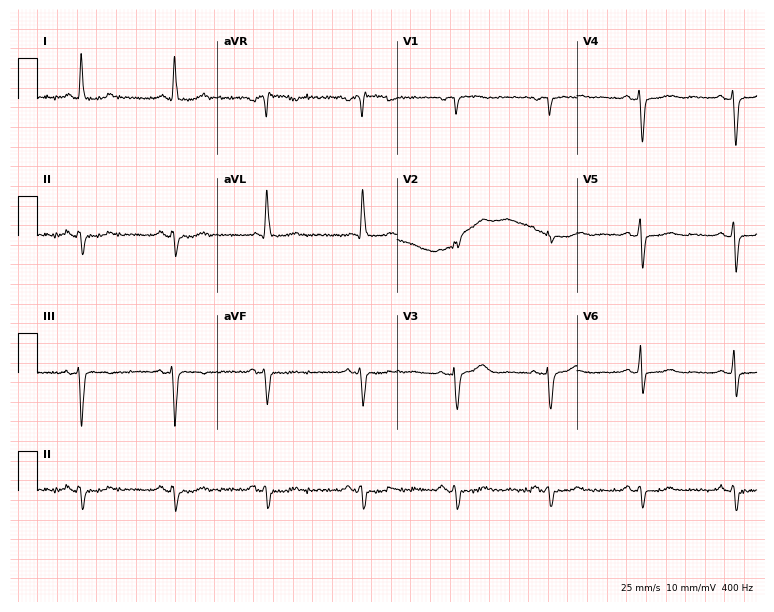
12-lead ECG from a female, 67 years old. No first-degree AV block, right bundle branch block, left bundle branch block, sinus bradycardia, atrial fibrillation or sinus tachycardia recorded for this tracing. Findings outside these six are not listed.